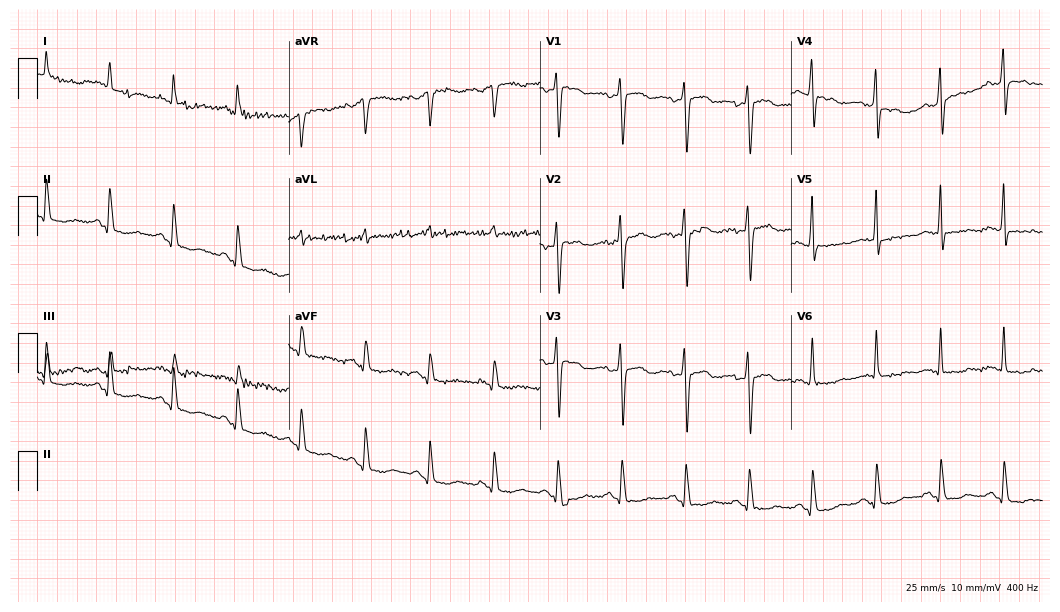
ECG — a 76-year-old woman. Screened for six findings — first-degree AV block, right bundle branch block (RBBB), left bundle branch block (LBBB), sinus bradycardia, atrial fibrillation (AF), sinus tachycardia — none is recorded. Only these six findings were labelled.